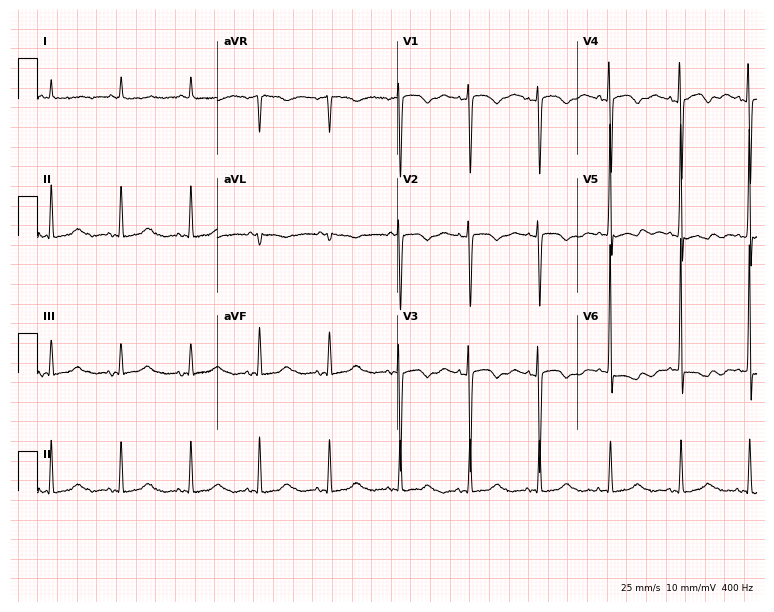
Electrocardiogram (7.3-second recording at 400 Hz), an 80-year-old woman. Of the six screened findings (first-degree AV block, right bundle branch block, left bundle branch block, sinus bradycardia, atrial fibrillation, sinus tachycardia), none is recorded.